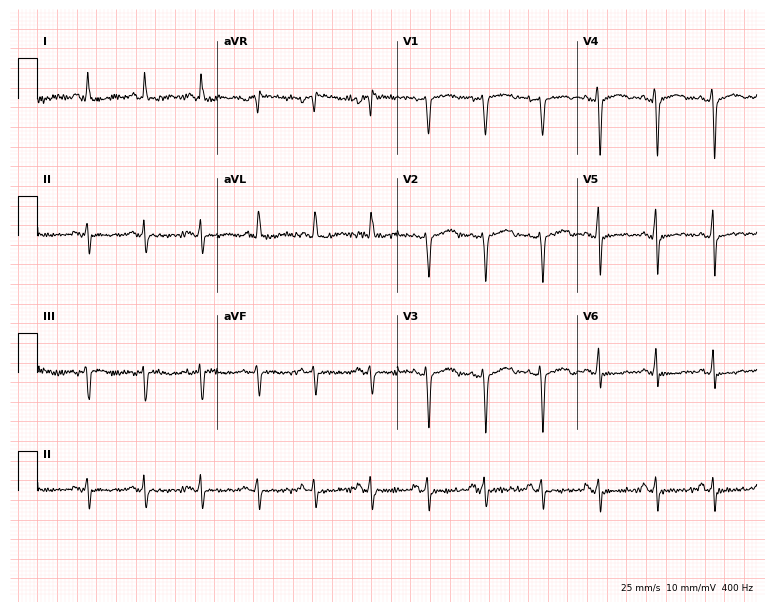
Standard 12-lead ECG recorded from a female, 35 years old. None of these six findings is recorded: first-degree AV block, right bundle branch block (RBBB), left bundle branch block (LBBB), sinus bradycardia, atrial fibrillation (AF), sinus tachycardia.